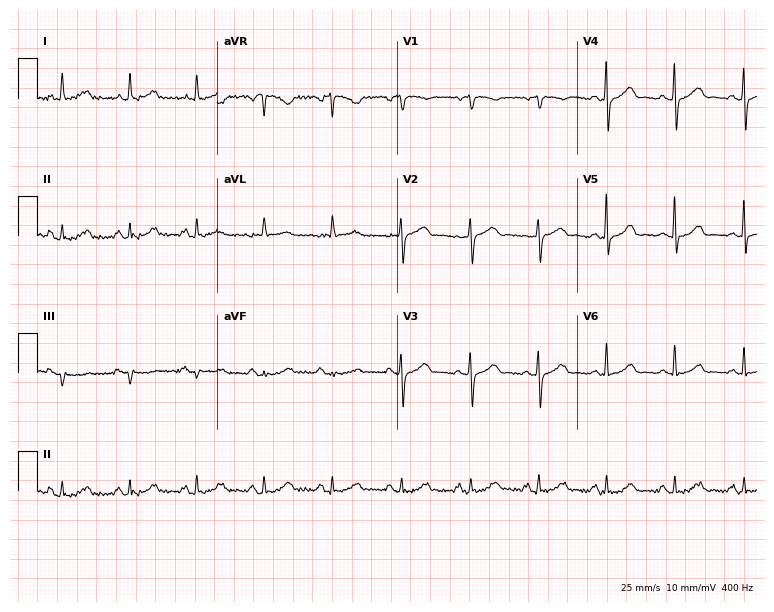
Resting 12-lead electrocardiogram (7.3-second recording at 400 Hz). Patient: a 72-year-old woman. Read as a normal ECG.